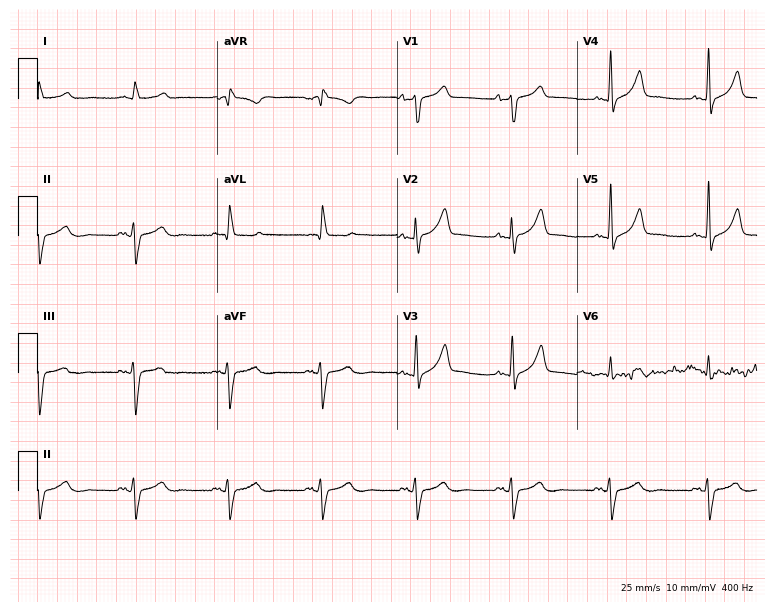
Resting 12-lead electrocardiogram. Patient: a 72-year-old man. None of these six findings is recorded: first-degree AV block, right bundle branch block, left bundle branch block, sinus bradycardia, atrial fibrillation, sinus tachycardia.